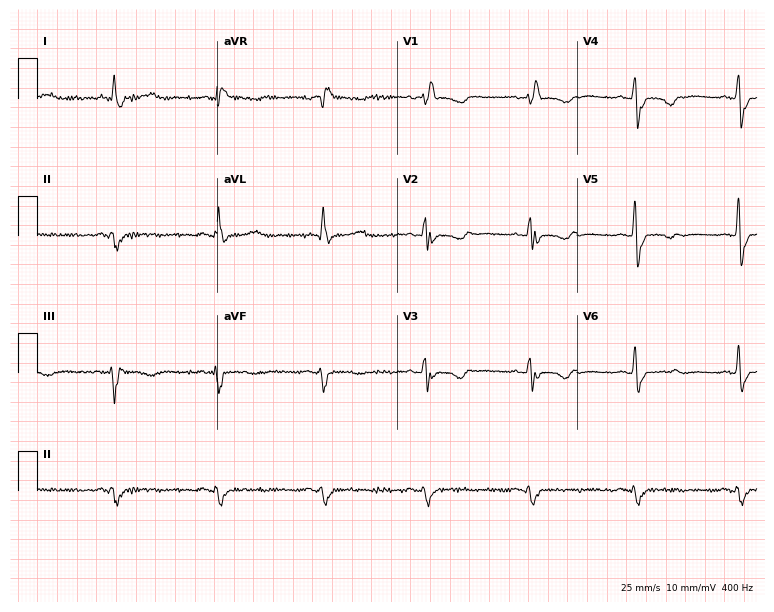
12-lead ECG from a female, 71 years old. No first-degree AV block, right bundle branch block, left bundle branch block, sinus bradycardia, atrial fibrillation or sinus tachycardia recorded for this tracing. Other findings, if any, are not listed.